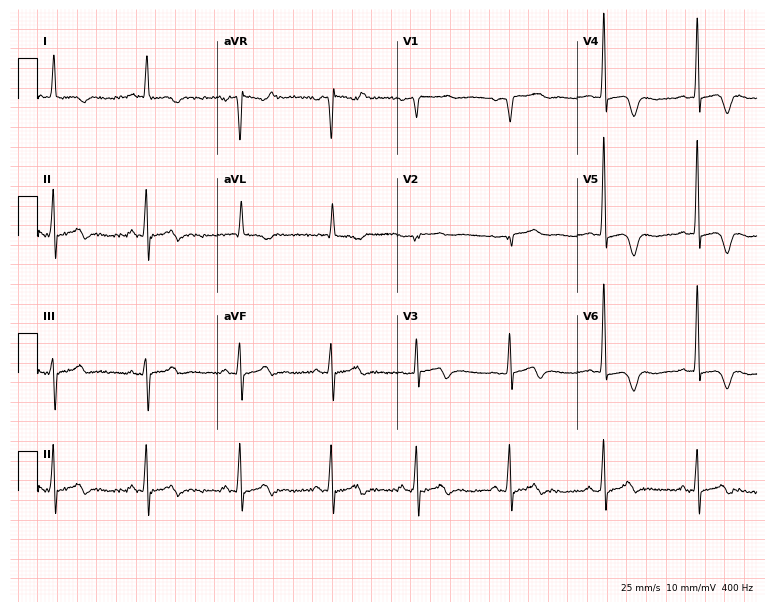
12-lead ECG (7.3-second recording at 400 Hz) from an 82-year-old female. Labelled as a normal ECG.